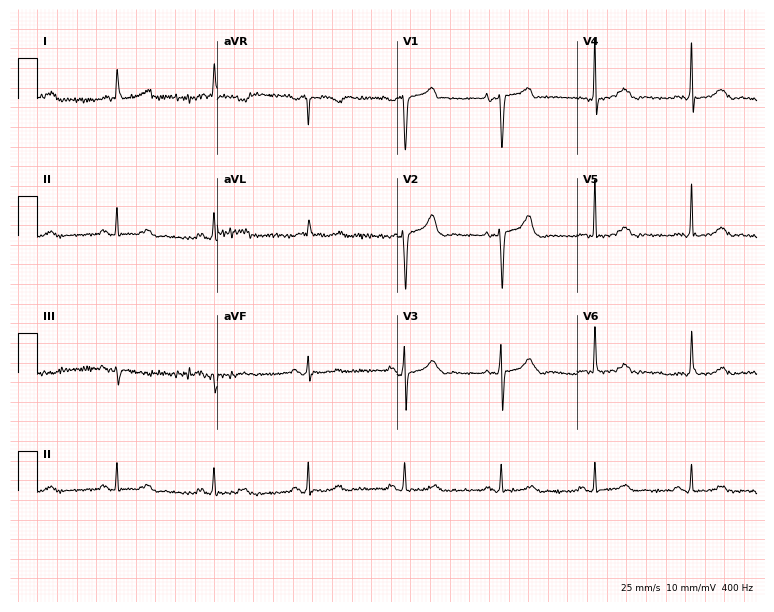
12-lead ECG (7.3-second recording at 400 Hz) from a woman, 76 years old. Screened for six findings — first-degree AV block, right bundle branch block, left bundle branch block, sinus bradycardia, atrial fibrillation, sinus tachycardia — none is recorded.